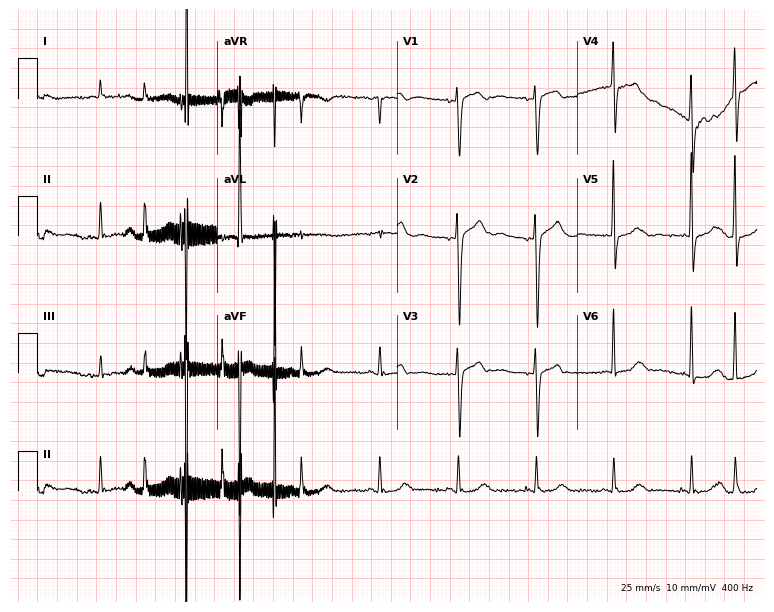
12-lead ECG (7.3-second recording at 400 Hz) from an 81-year-old female. Screened for six findings — first-degree AV block, right bundle branch block, left bundle branch block, sinus bradycardia, atrial fibrillation, sinus tachycardia — none is recorded. Other findings, if any, are not listed.